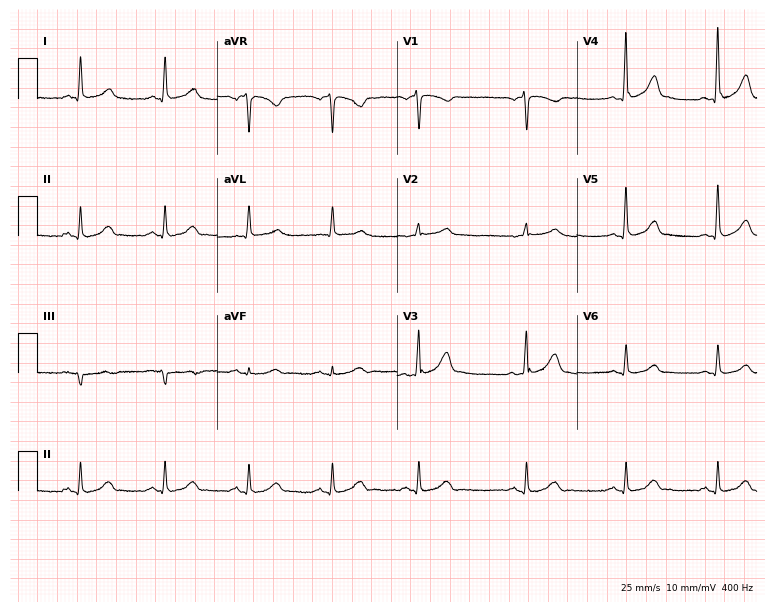
Electrocardiogram, a 67-year-old man. Overall reading on record: normal ECG.